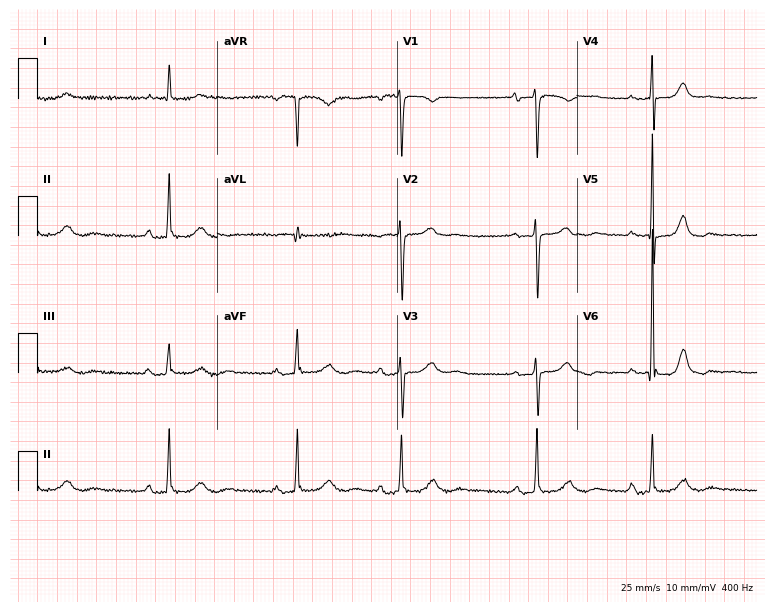
Electrocardiogram, an 80-year-old woman. Of the six screened findings (first-degree AV block, right bundle branch block (RBBB), left bundle branch block (LBBB), sinus bradycardia, atrial fibrillation (AF), sinus tachycardia), none is recorded. Other findings, if any, are not listed.